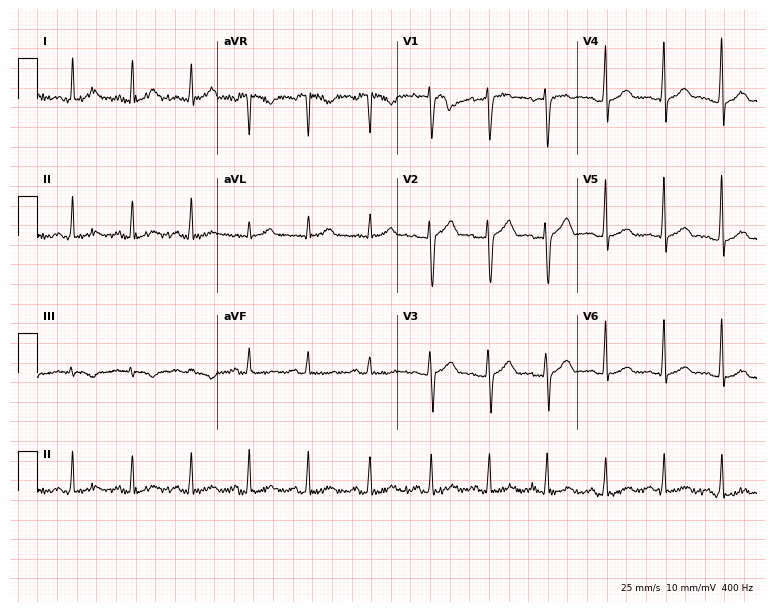
Standard 12-lead ECG recorded from a female patient, 29 years old. Read as a normal ECG.